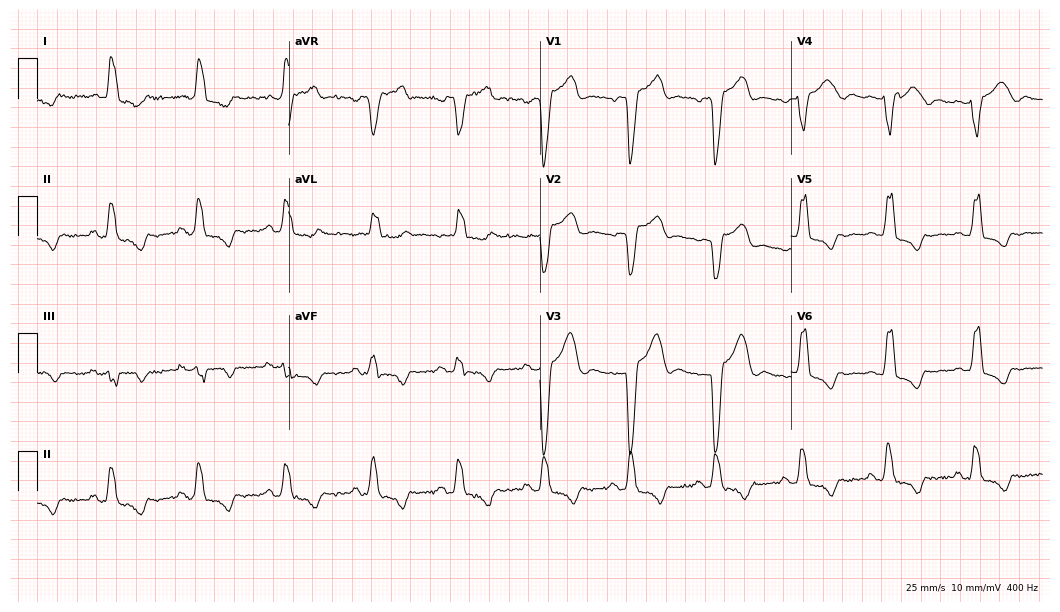
12-lead ECG from a female patient, 83 years old. Findings include left bundle branch block.